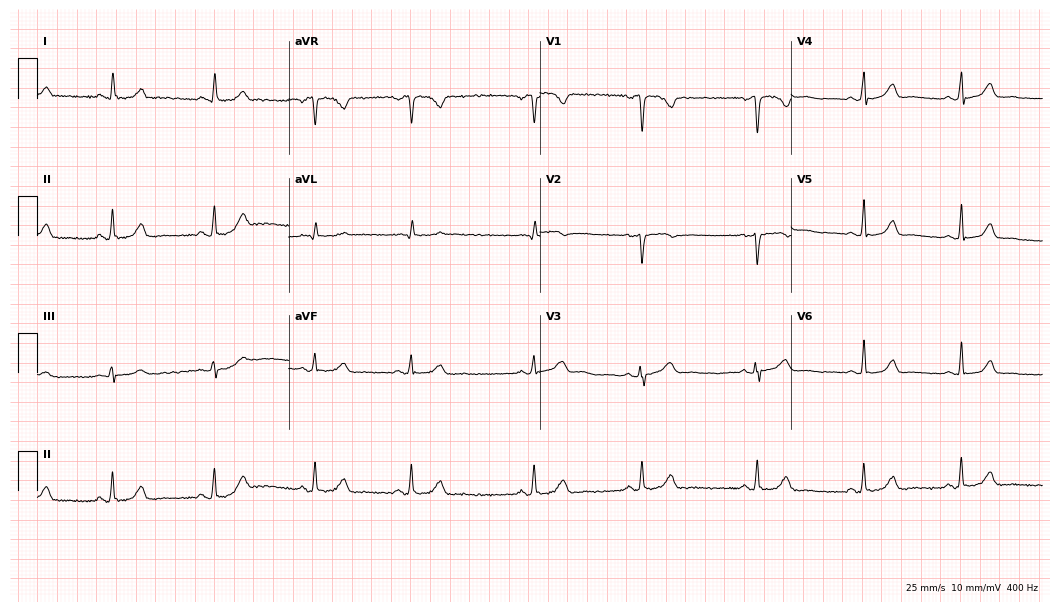
Resting 12-lead electrocardiogram. Patient: a 36-year-old female. Read as a normal ECG.